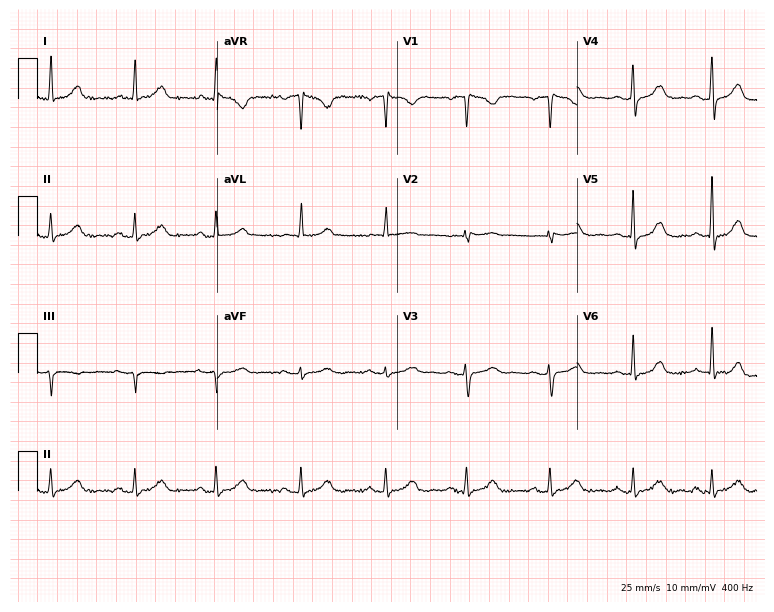
12-lead ECG from a woman, 50 years old (7.3-second recording at 400 Hz). Recorded interpretation: within normal limits.